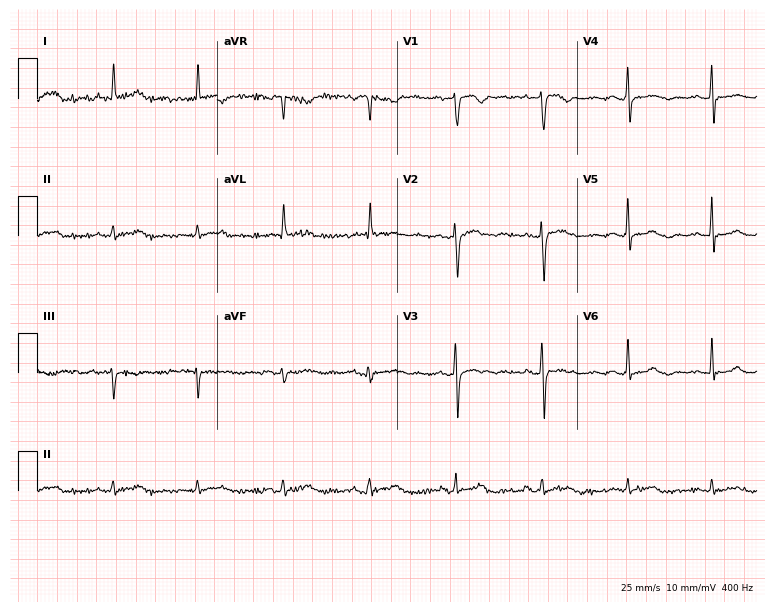
Resting 12-lead electrocardiogram. Patient: a 68-year-old female. Read as a normal ECG.